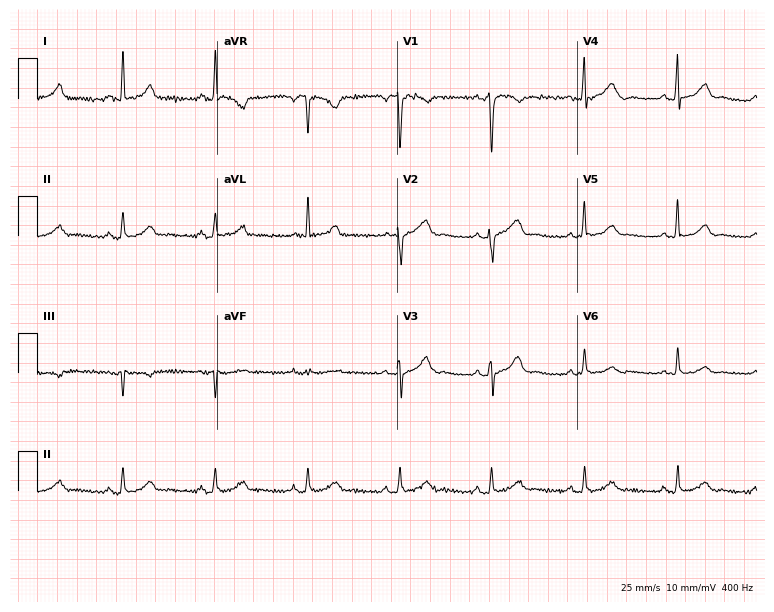
Resting 12-lead electrocardiogram. Patient: a 58-year-old female. Read as a normal ECG.